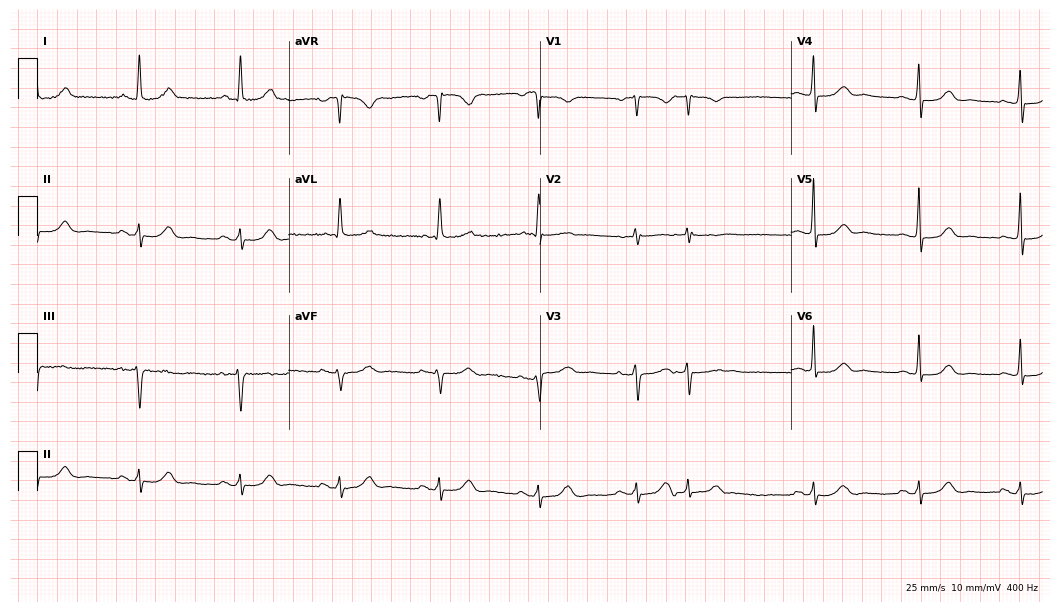
Standard 12-lead ECG recorded from a female, 77 years old. Read as a normal ECG.